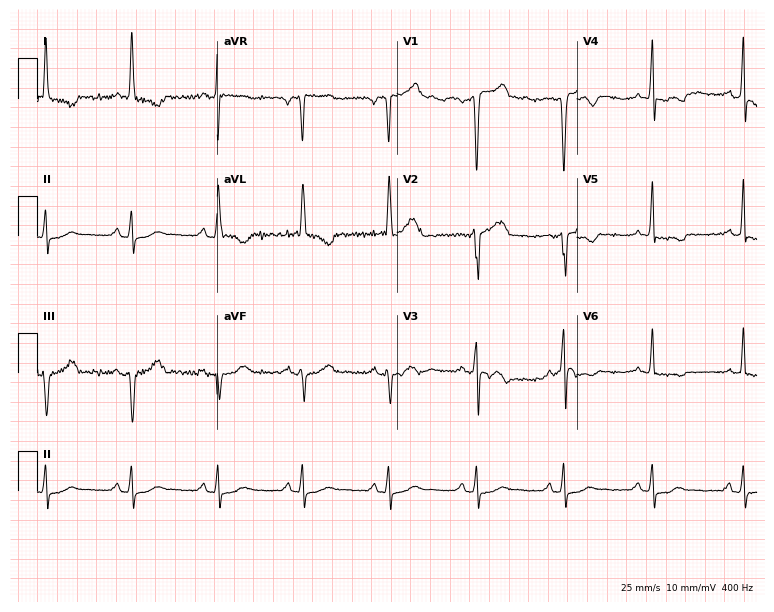
12-lead ECG from a 51-year-old male (7.3-second recording at 400 Hz). No first-degree AV block, right bundle branch block (RBBB), left bundle branch block (LBBB), sinus bradycardia, atrial fibrillation (AF) or sinus tachycardia recorded for this tracing.